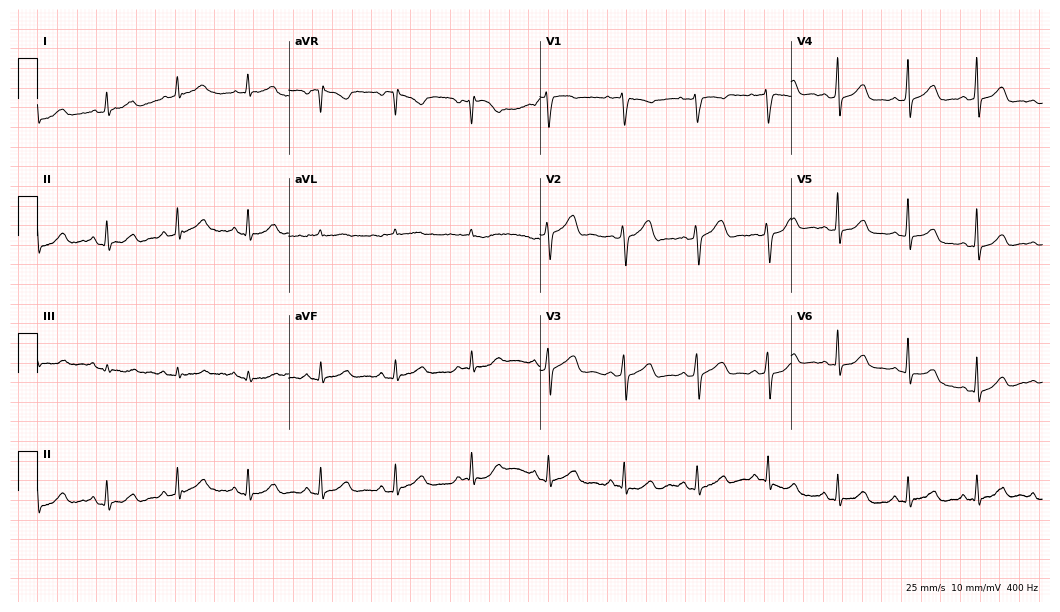
ECG — a 44-year-old female. Labelled as a normal ECG.